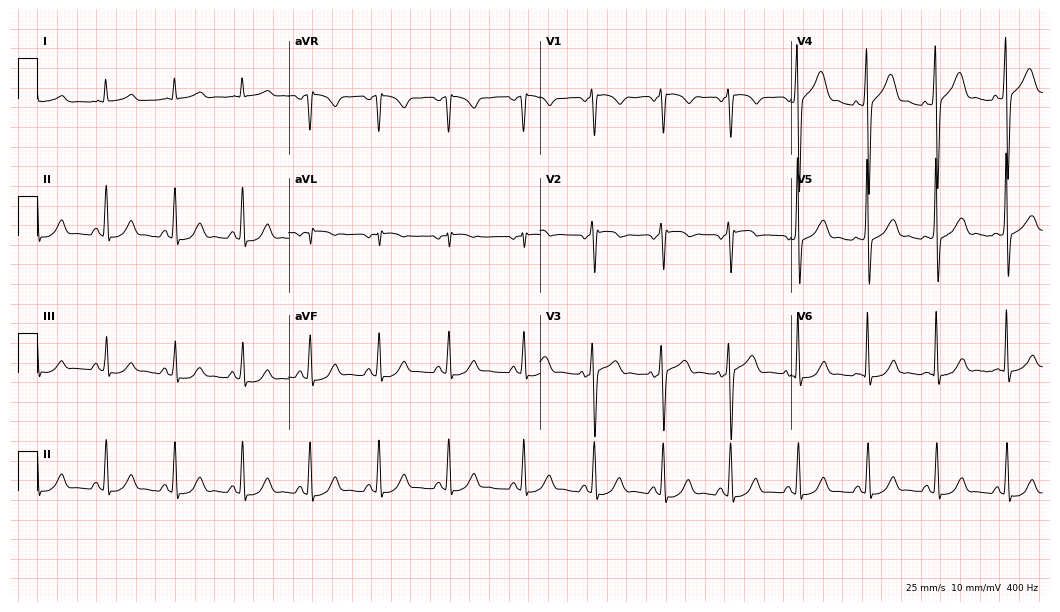
Standard 12-lead ECG recorded from a 59-year-old male patient (10.2-second recording at 400 Hz). None of these six findings is recorded: first-degree AV block, right bundle branch block, left bundle branch block, sinus bradycardia, atrial fibrillation, sinus tachycardia.